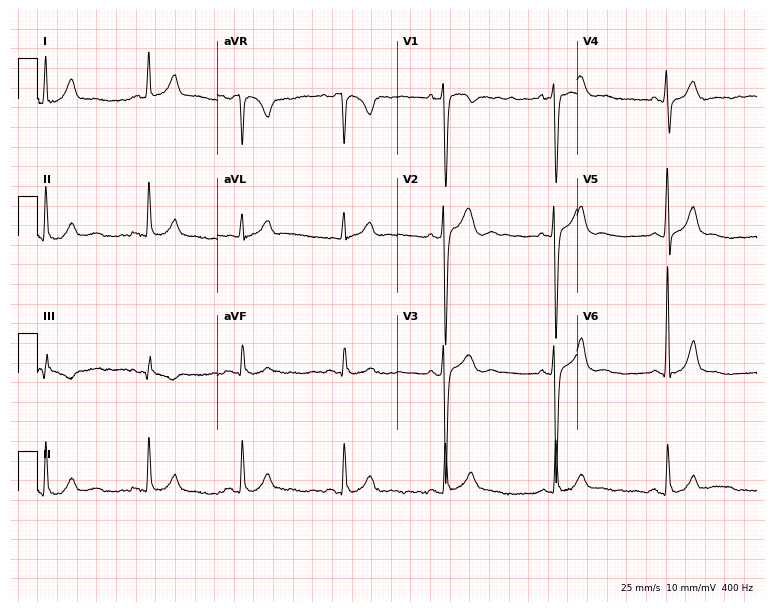
12-lead ECG from a 29-year-old male. Recorded interpretation: within normal limits.